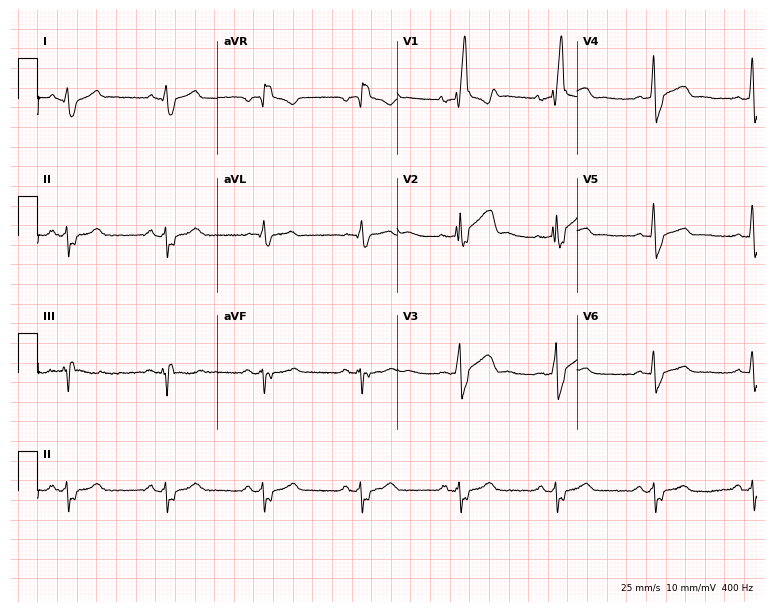
12-lead ECG from a male patient, 62 years old. Findings include right bundle branch block (RBBB).